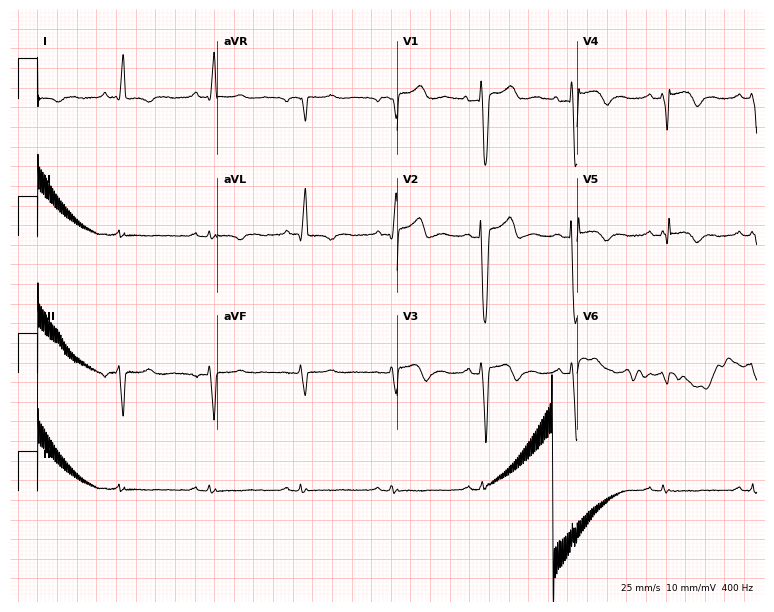
12-lead ECG (7.3-second recording at 400 Hz) from a 62-year-old female. Screened for six findings — first-degree AV block, right bundle branch block, left bundle branch block, sinus bradycardia, atrial fibrillation, sinus tachycardia — none is recorded.